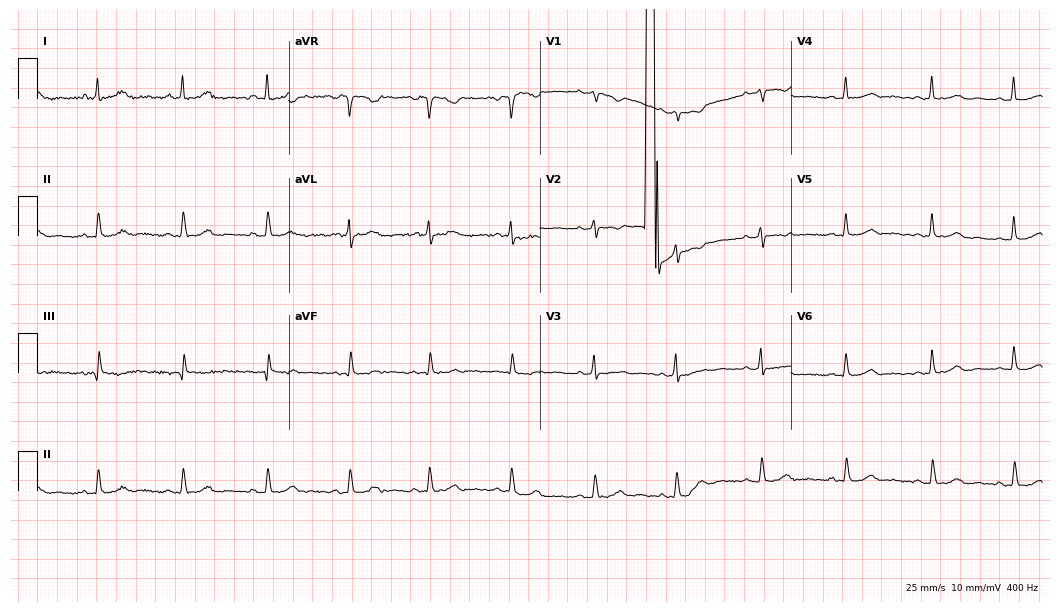
Standard 12-lead ECG recorded from a 39-year-old woman. None of these six findings is recorded: first-degree AV block, right bundle branch block, left bundle branch block, sinus bradycardia, atrial fibrillation, sinus tachycardia.